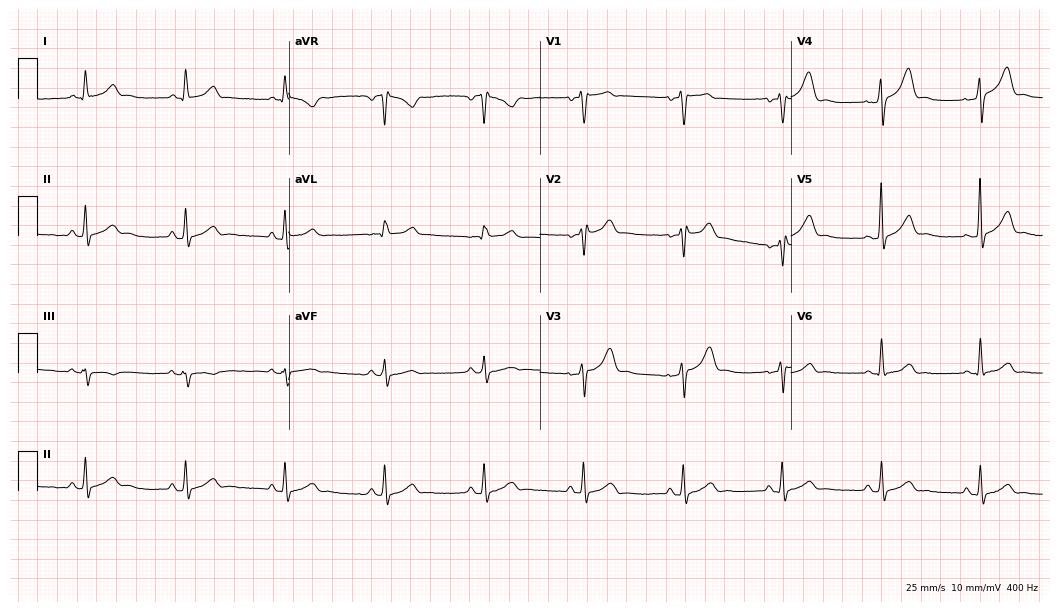
Standard 12-lead ECG recorded from a 48-year-old male patient (10.2-second recording at 400 Hz). None of these six findings is recorded: first-degree AV block, right bundle branch block, left bundle branch block, sinus bradycardia, atrial fibrillation, sinus tachycardia. Other findings, if any, are not listed.